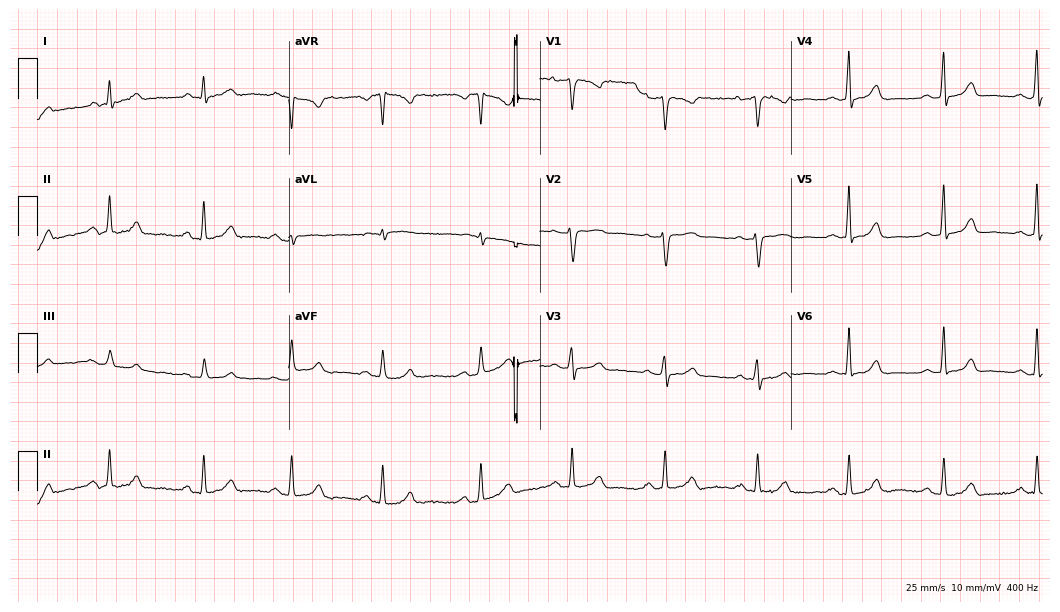
12-lead ECG from a 30-year-old woman. Labelled as a normal ECG.